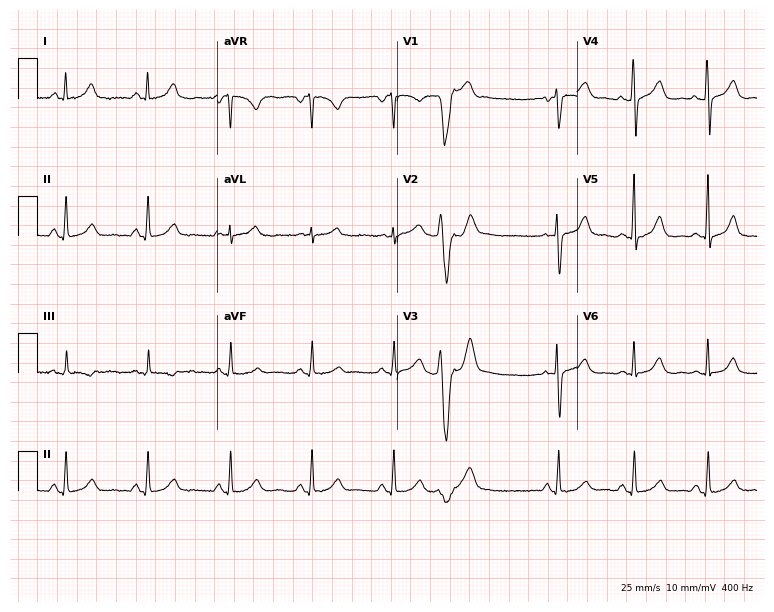
12-lead ECG from a 43-year-old woman (7.3-second recording at 400 Hz). Recorded interpretation: within normal limits.